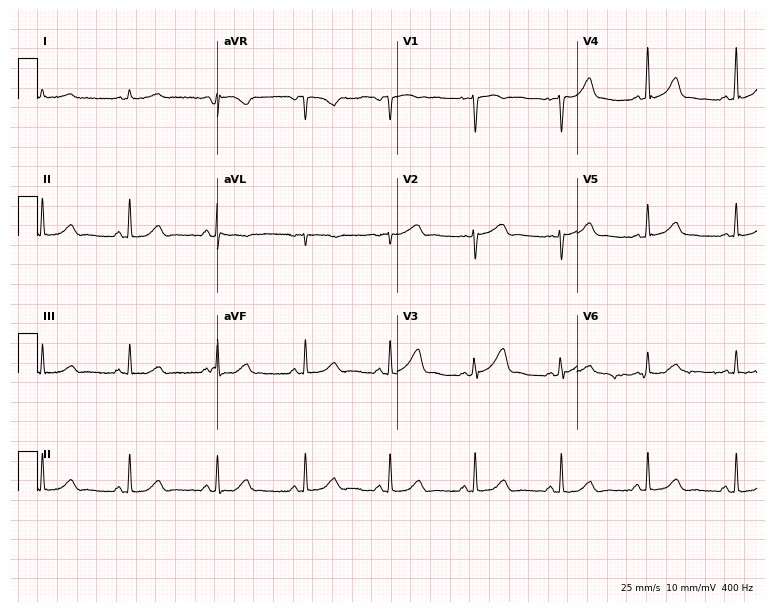
12-lead ECG from a female patient, 45 years old. Labelled as a normal ECG.